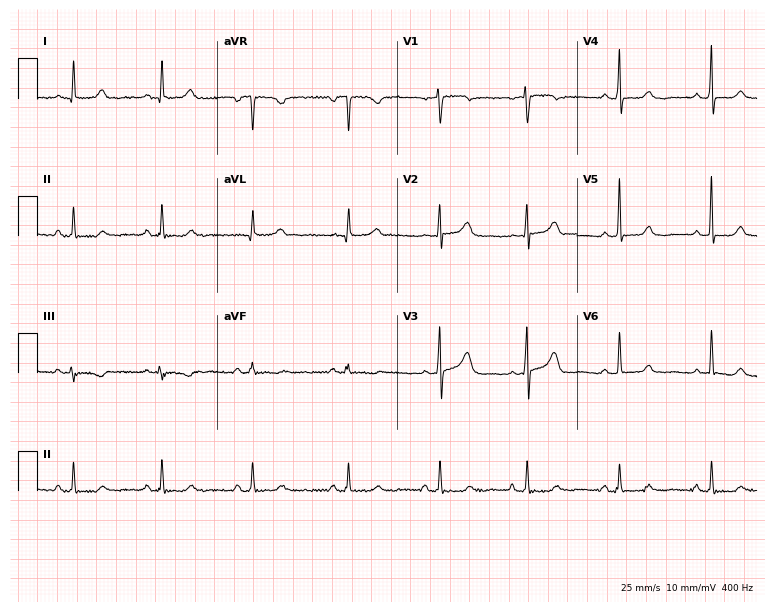
ECG (7.3-second recording at 400 Hz) — a female patient, 55 years old. Labelled as a normal ECG.